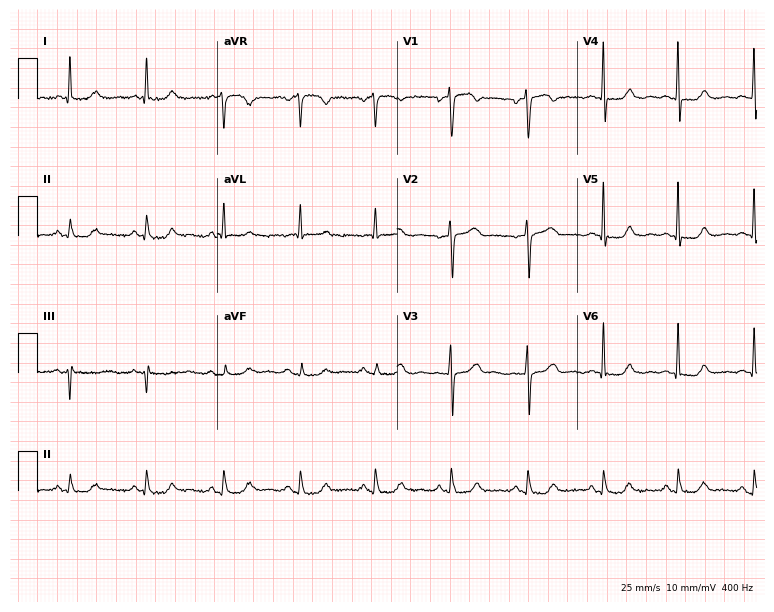
12-lead ECG from a female patient, 49 years old (7.3-second recording at 400 Hz). Recorded interpretation: within normal limits.